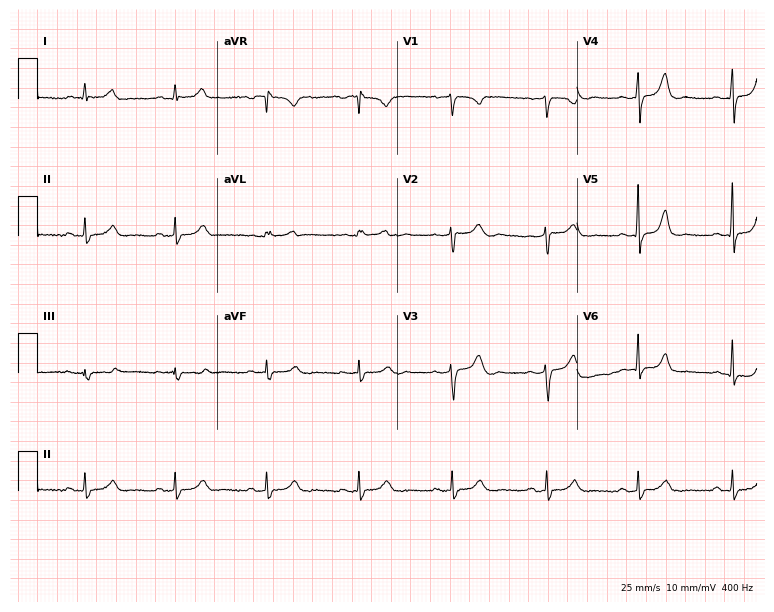
Standard 12-lead ECG recorded from a female patient, 40 years old (7.3-second recording at 400 Hz). Read as a normal ECG.